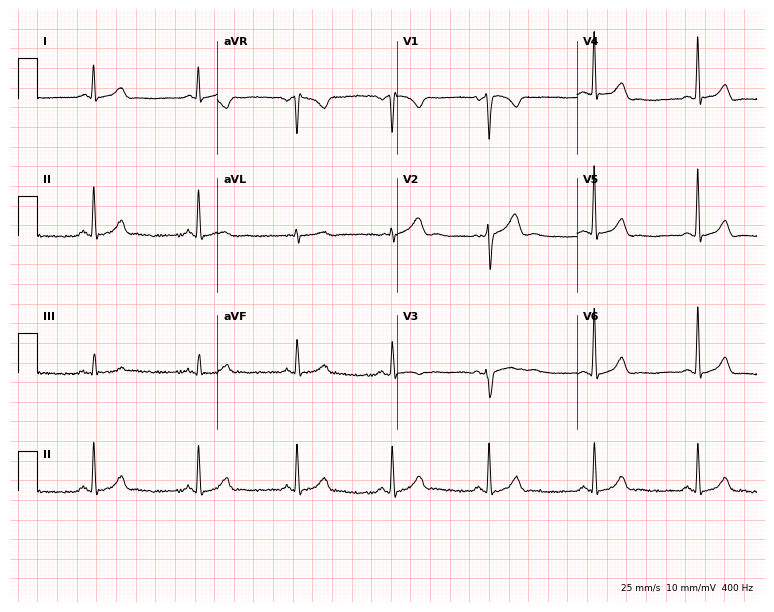
12-lead ECG from a male patient, 24 years old. Labelled as a normal ECG.